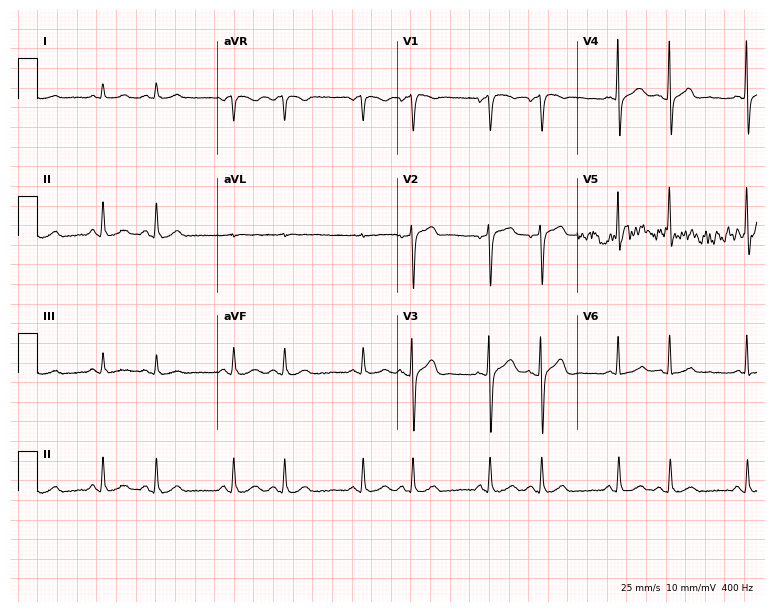
Electrocardiogram (7.3-second recording at 400 Hz), a 79-year-old man. Of the six screened findings (first-degree AV block, right bundle branch block, left bundle branch block, sinus bradycardia, atrial fibrillation, sinus tachycardia), none is recorded.